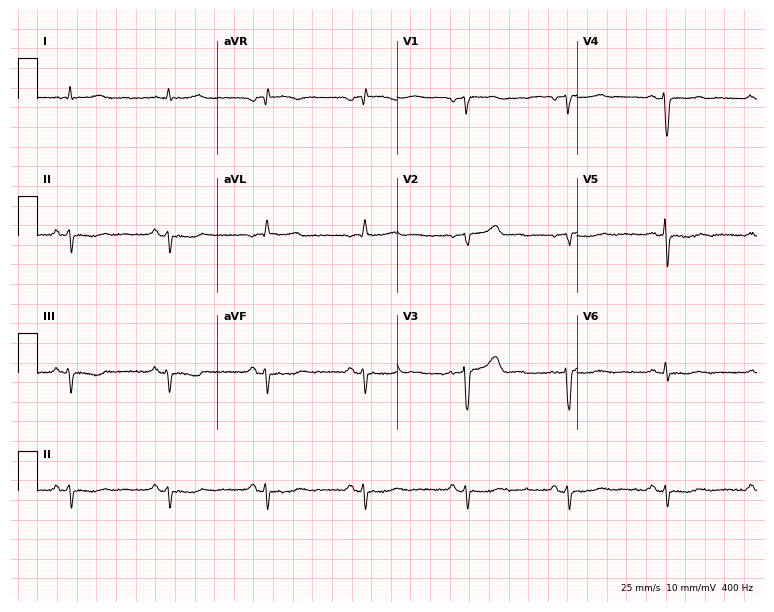
Resting 12-lead electrocardiogram (7.3-second recording at 400 Hz). Patient: a 75-year-old man. None of these six findings is recorded: first-degree AV block, right bundle branch block, left bundle branch block, sinus bradycardia, atrial fibrillation, sinus tachycardia. Other findings, if any, are not listed.